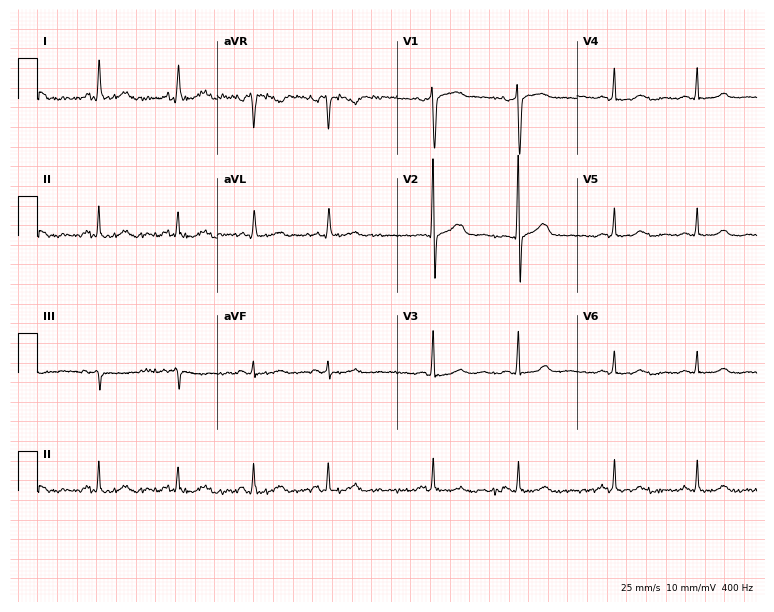
ECG (7.3-second recording at 400 Hz) — a 57-year-old female patient. Labelled as a normal ECG.